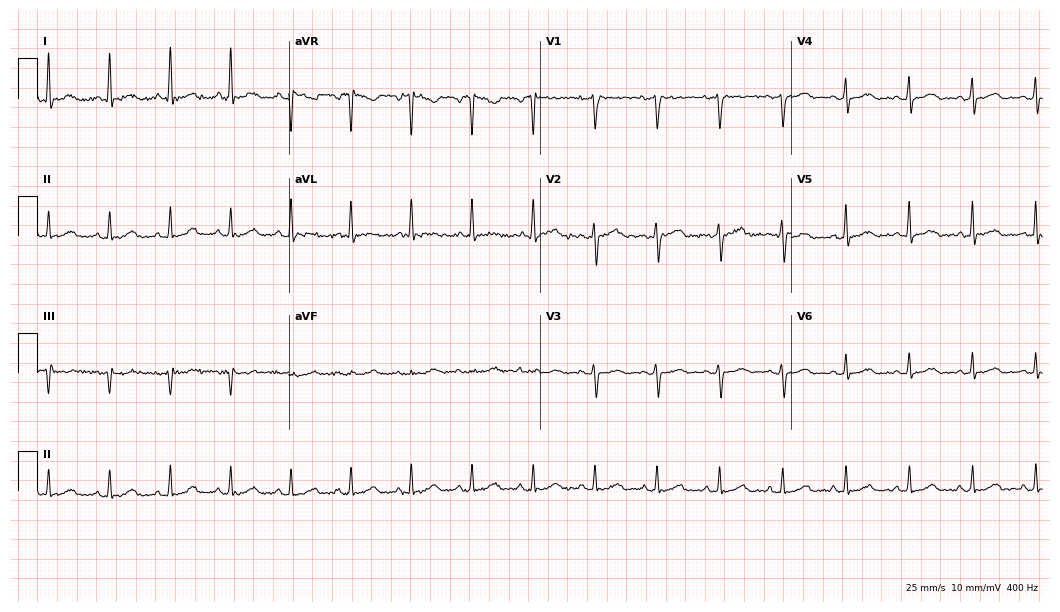
12-lead ECG from a 46-year-old female. Screened for six findings — first-degree AV block, right bundle branch block, left bundle branch block, sinus bradycardia, atrial fibrillation, sinus tachycardia — none is recorded. Findings outside these six are not listed.